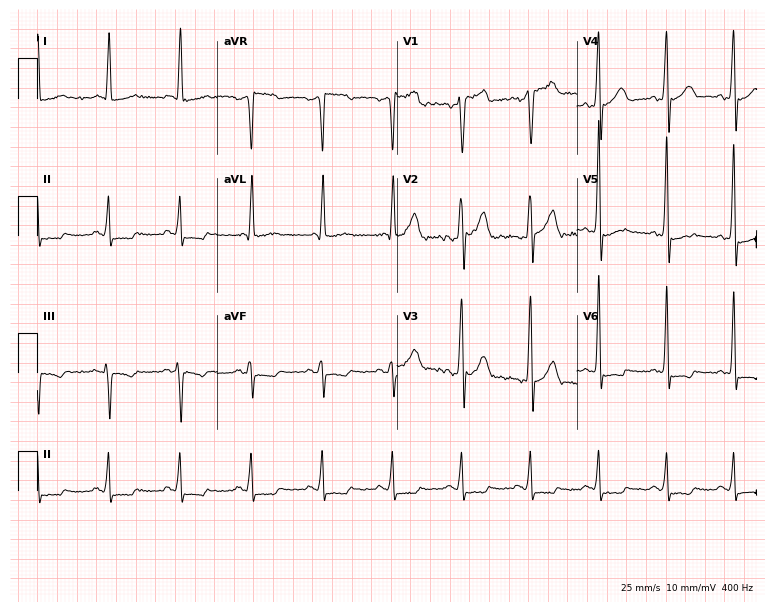
12-lead ECG from a 54-year-old man. Screened for six findings — first-degree AV block, right bundle branch block (RBBB), left bundle branch block (LBBB), sinus bradycardia, atrial fibrillation (AF), sinus tachycardia — none is recorded. Findings outside these six are not listed.